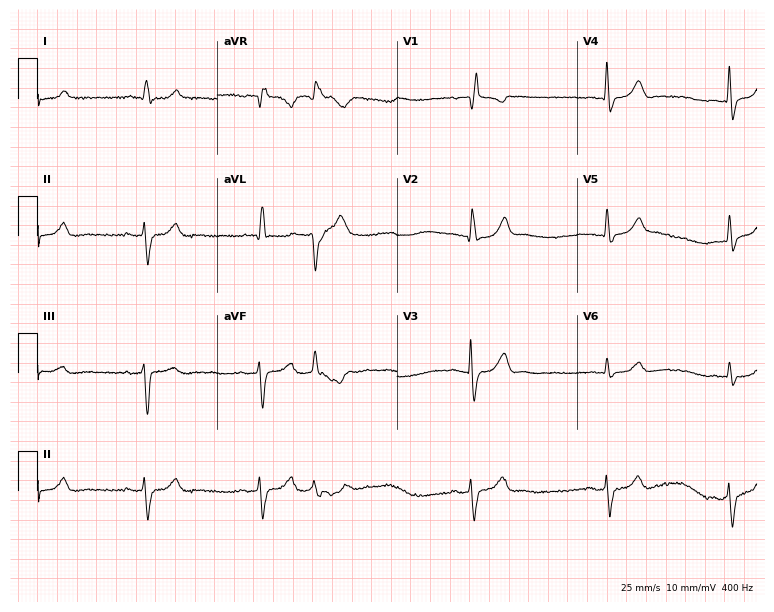
Standard 12-lead ECG recorded from a male patient, 77 years old. None of these six findings is recorded: first-degree AV block, right bundle branch block, left bundle branch block, sinus bradycardia, atrial fibrillation, sinus tachycardia. Findings outside these six are not listed.